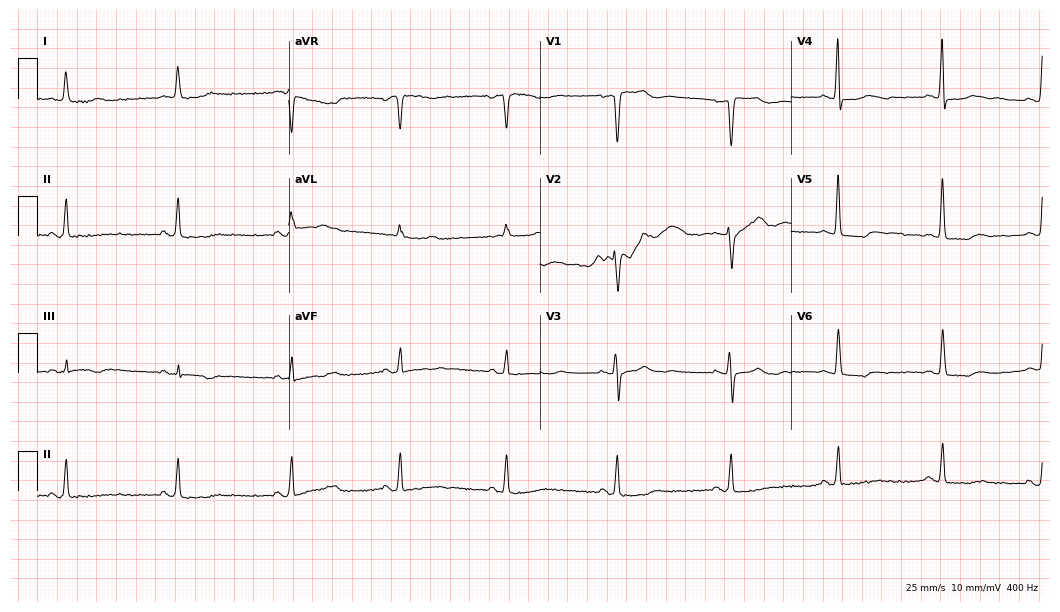
Standard 12-lead ECG recorded from a female, 66 years old. Read as a normal ECG.